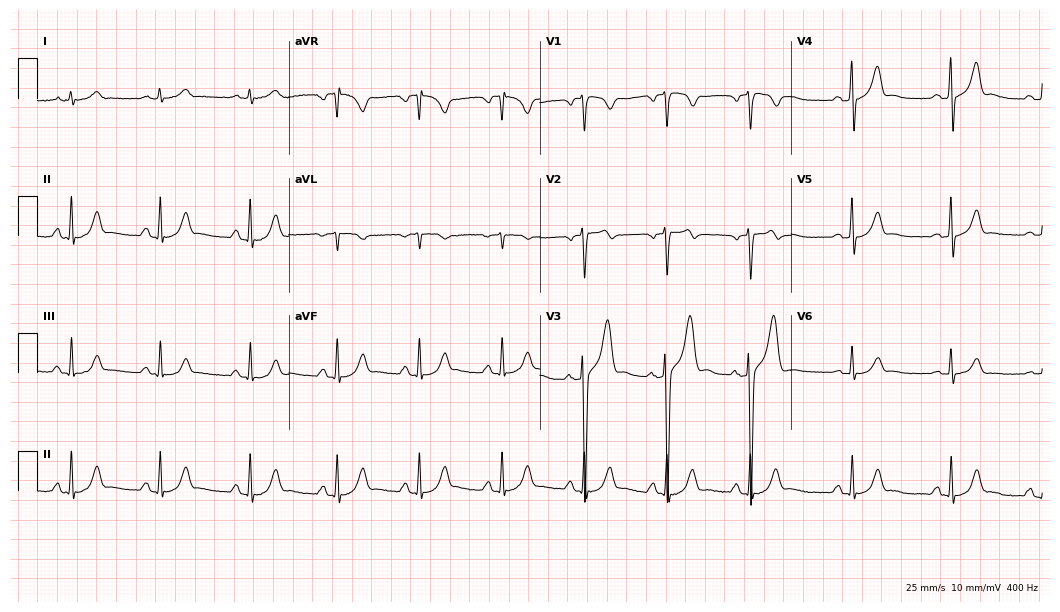
Standard 12-lead ECG recorded from a 49-year-old male patient. Read as a normal ECG.